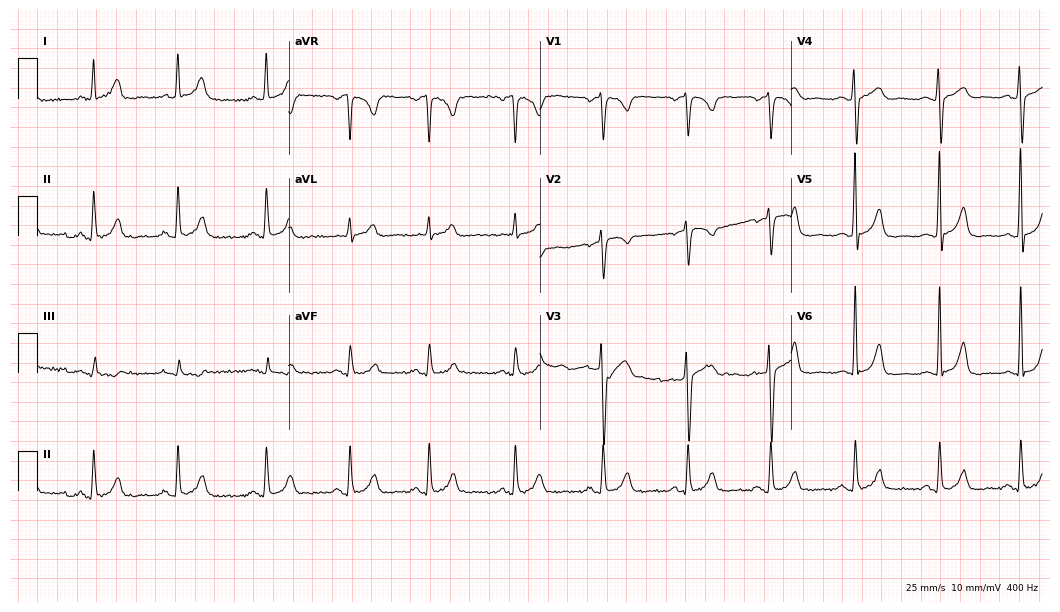
Resting 12-lead electrocardiogram (10.2-second recording at 400 Hz). Patient: a 30-year-old male. None of these six findings is recorded: first-degree AV block, right bundle branch block, left bundle branch block, sinus bradycardia, atrial fibrillation, sinus tachycardia. Findings outside these six are not listed.